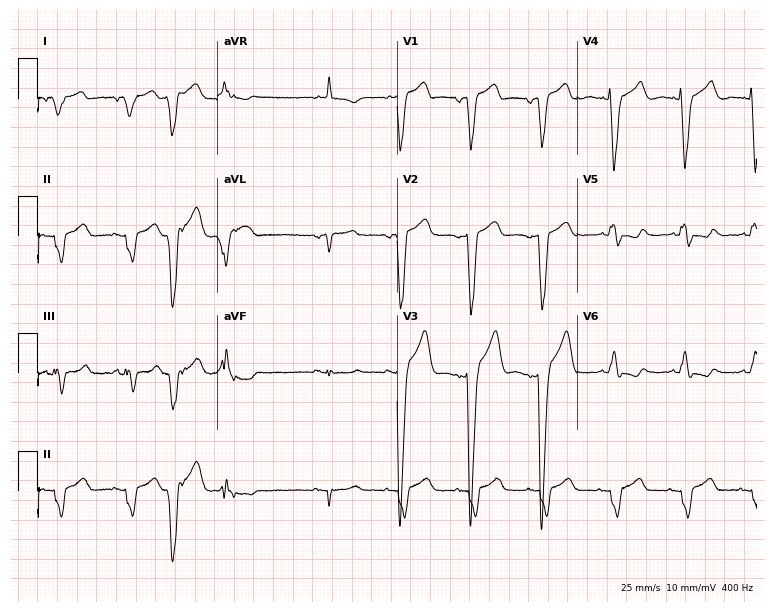
Standard 12-lead ECG recorded from a man, 78 years old (7.3-second recording at 400 Hz). None of these six findings is recorded: first-degree AV block, right bundle branch block (RBBB), left bundle branch block (LBBB), sinus bradycardia, atrial fibrillation (AF), sinus tachycardia. Only these six findings were labelled.